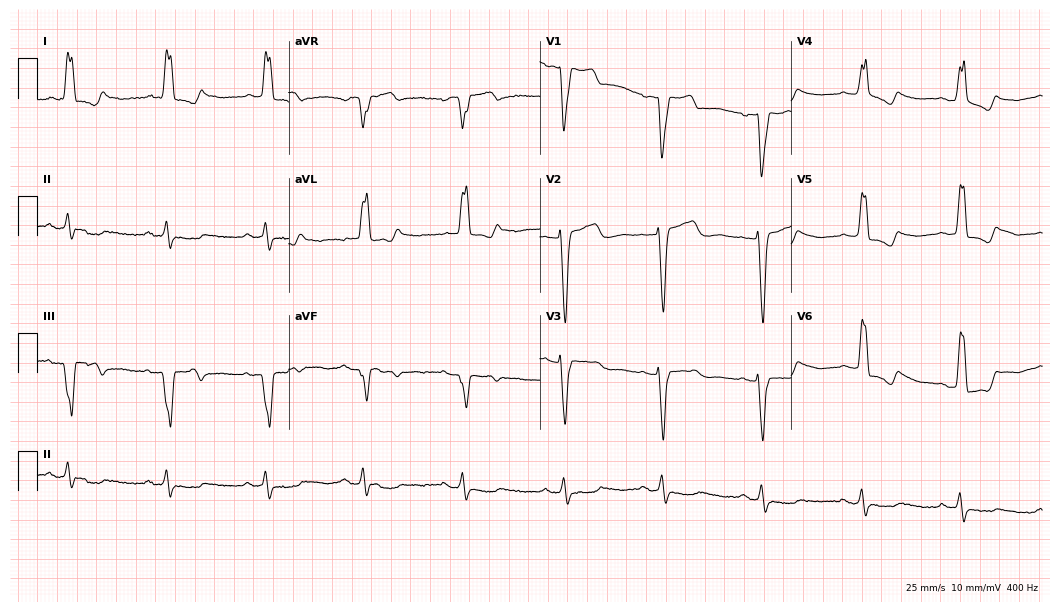
ECG (10.2-second recording at 400 Hz) — a woman, 85 years old. Findings include left bundle branch block.